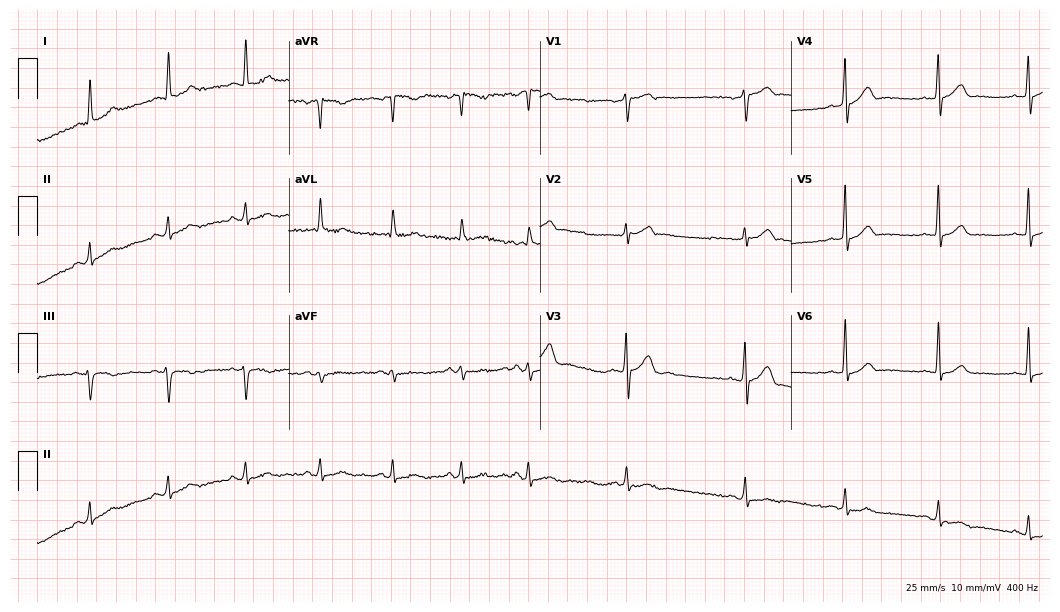
Standard 12-lead ECG recorded from a 56-year-old male (10.2-second recording at 400 Hz). None of these six findings is recorded: first-degree AV block, right bundle branch block (RBBB), left bundle branch block (LBBB), sinus bradycardia, atrial fibrillation (AF), sinus tachycardia. Other findings, if any, are not listed.